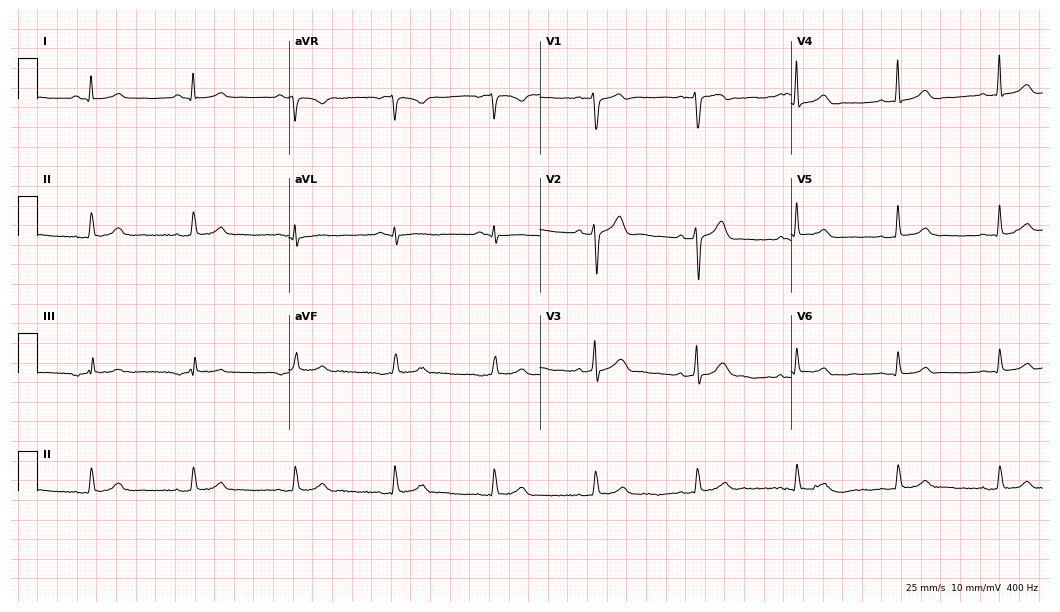
Standard 12-lead ECG recorded from a 56-year-old male patient (10.2-second recording at 400 Hz). Read as a normal ECG.